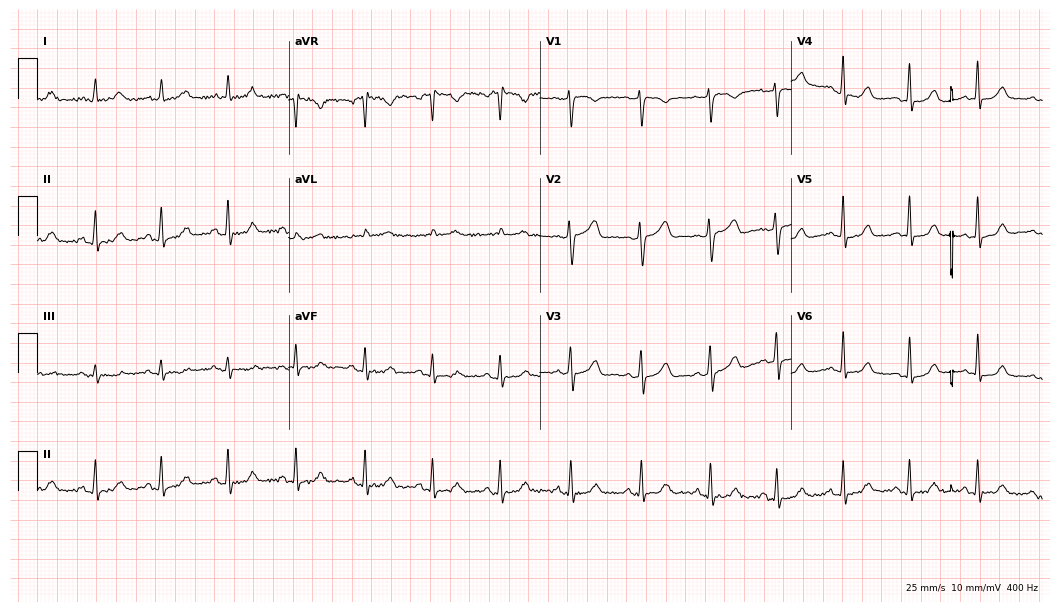
Standard 12-lead ECG recorded from a 49-year-old female. Read as a normal ECG.